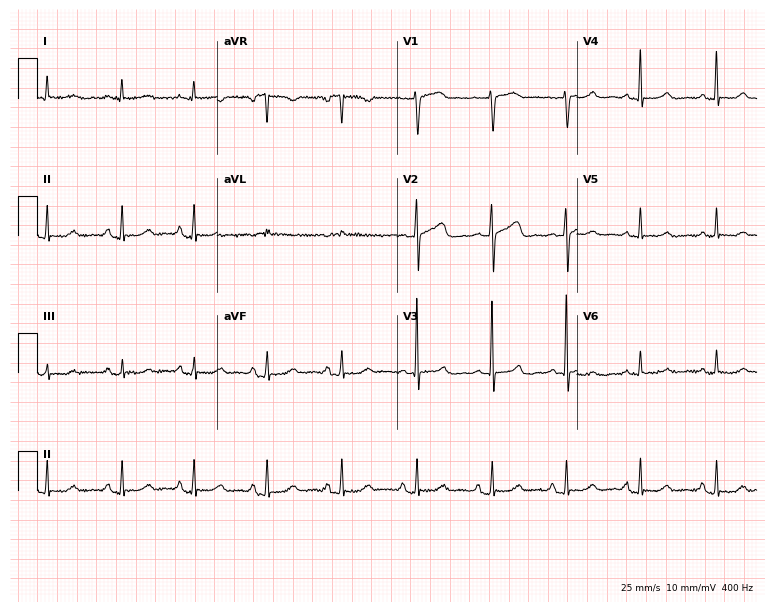
Standard 12-lead ECG recorded from a woman, 61 years old (7.3-second recording at 400 Hz). Read as a normal ECG.